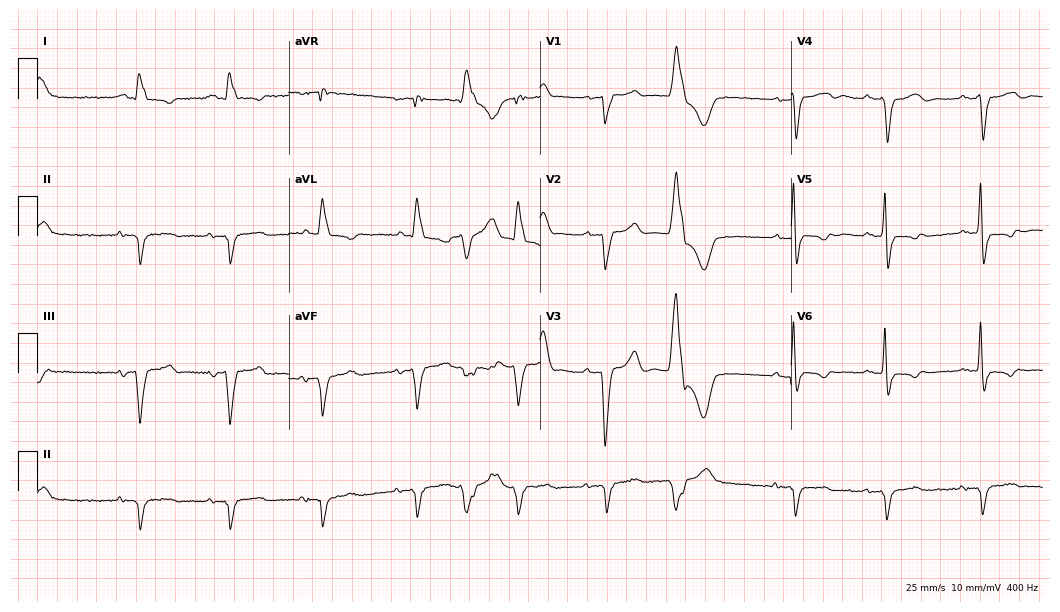
Electrocardiogram, a male patient, 70 years old. Interpretation includes left bundle branch block.